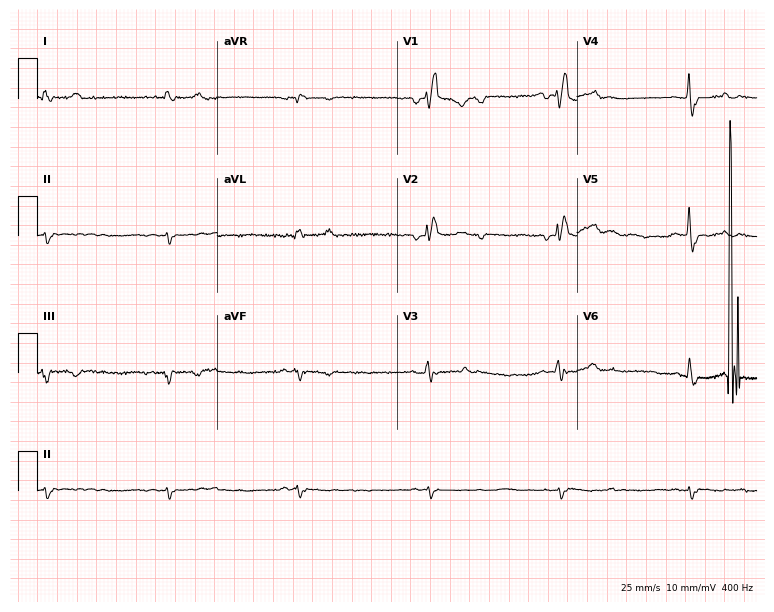
Standard 12-lead ECG recorded from a man, 62 years old (7.3-second recording at 400 Hz). The tracing shows first-degree AV block, right bundle branch block, sinus bradycardia (a sinus rate of 50 beats per minute or less).